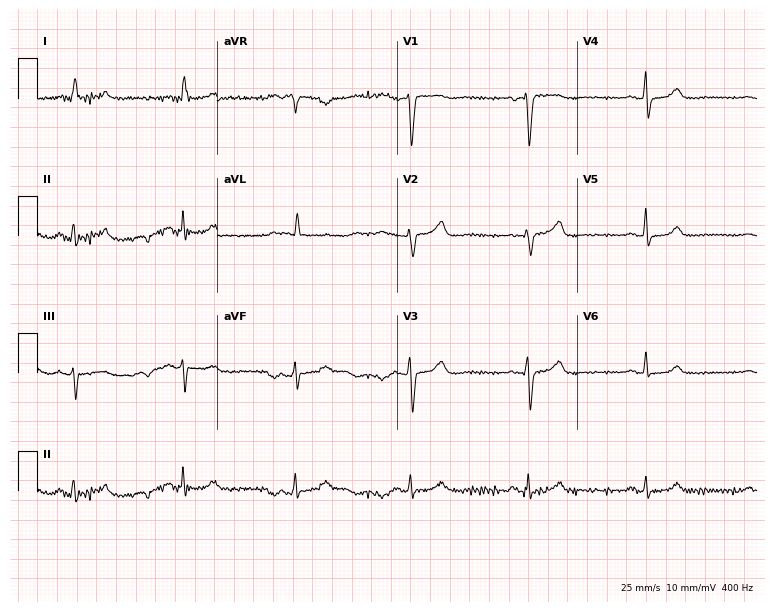
12-lead ECG from a 64-year-old woman (7.3-second recording at 400 Hz). No first-degree AV block, right bundle branch block, left bundle branch block, sinus bradycardia, atrial fibrillation or sinus tachycardia recorded for this tracing. Only these six findings were labelled.